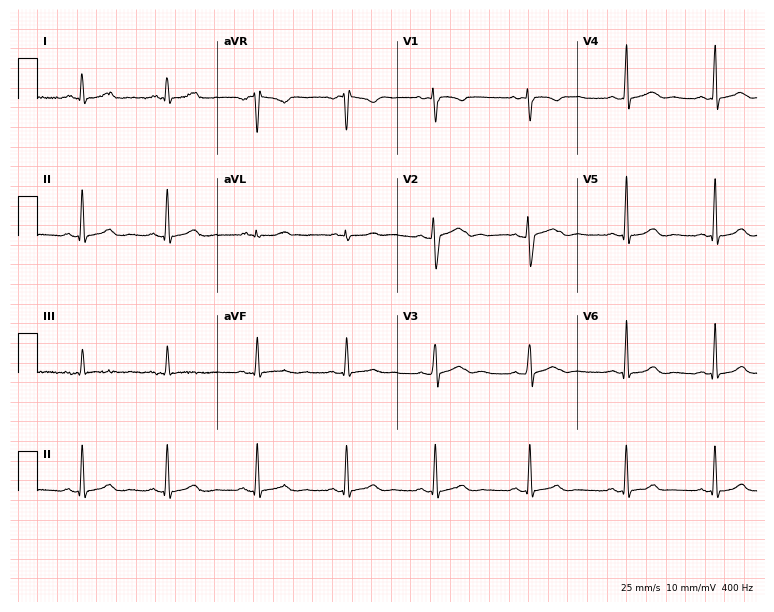
Standard 12-lead ECG recorded from a 27-year-old female. Read as a normal ECG.